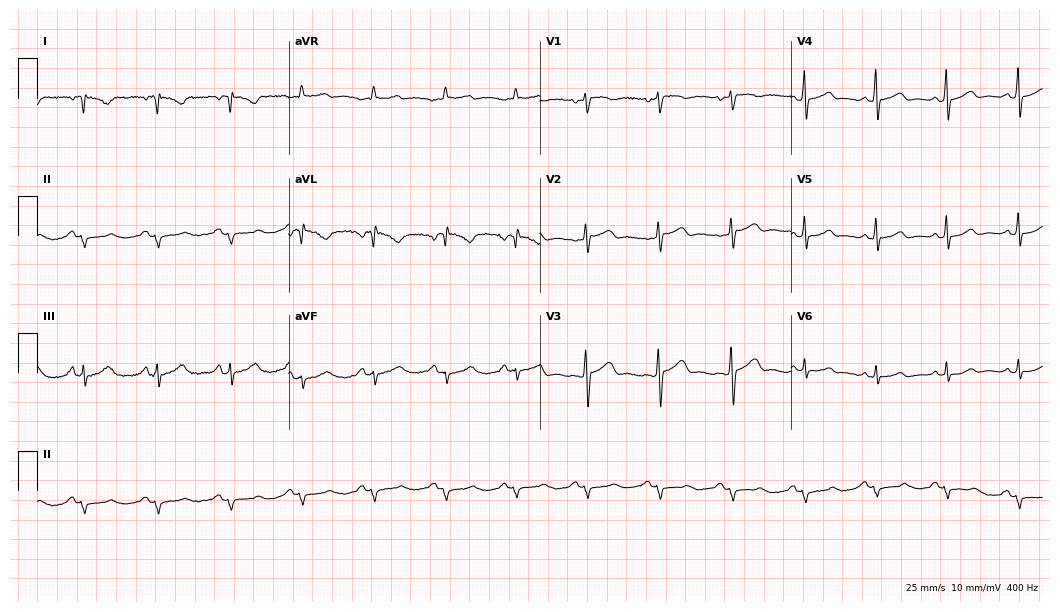
Standard 12-lead ECG recorded from a 27-year-old female patient (10.2-second recording at 400 Hz). None of these six findings is recorded: first-degree AV block, right bundle branch block, left bundle branch block, sinus bradycardia, atrial fibrillation, sinus tachycardia.